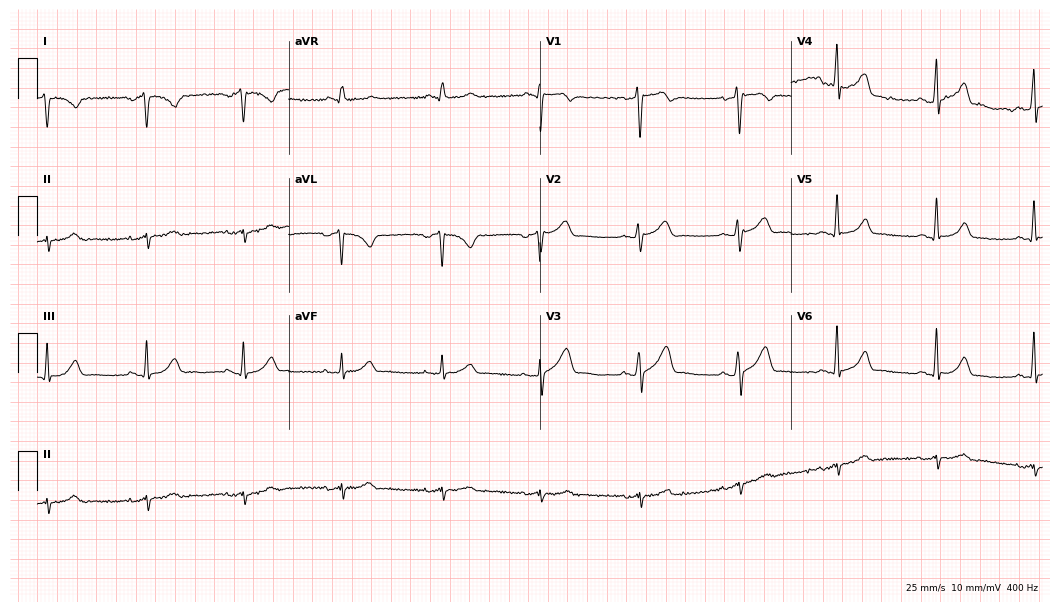
Standard 12-lead ECG recorded from a male patient, 52 years old. None of these six findings is recorded: first-degree AV block, right bundle branch block (RBBB), left bundle branch block (LBBB), sinus bradycardia, atrial fibrillation (AF), sinus tachycardia. Other findings, if any, are not listed.